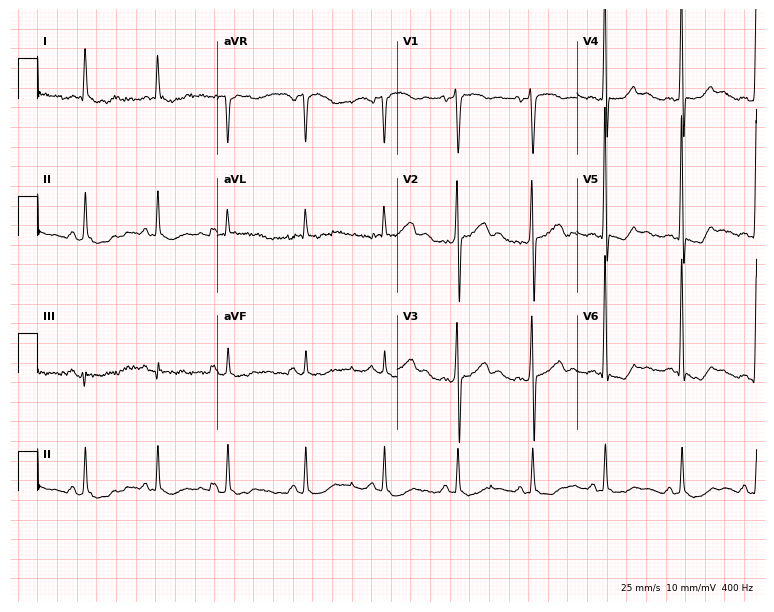
12-lead ECG (7.3-second recording at 400 Hz) from a male patient, 58 years old. Screened for six findings — first-degree AV block, right bundle branch block, left bundle branch block, sinus bradycardia, atrial fibrillation, sinus tachycardia — none is recorded. Other findings, if any, are not listed.